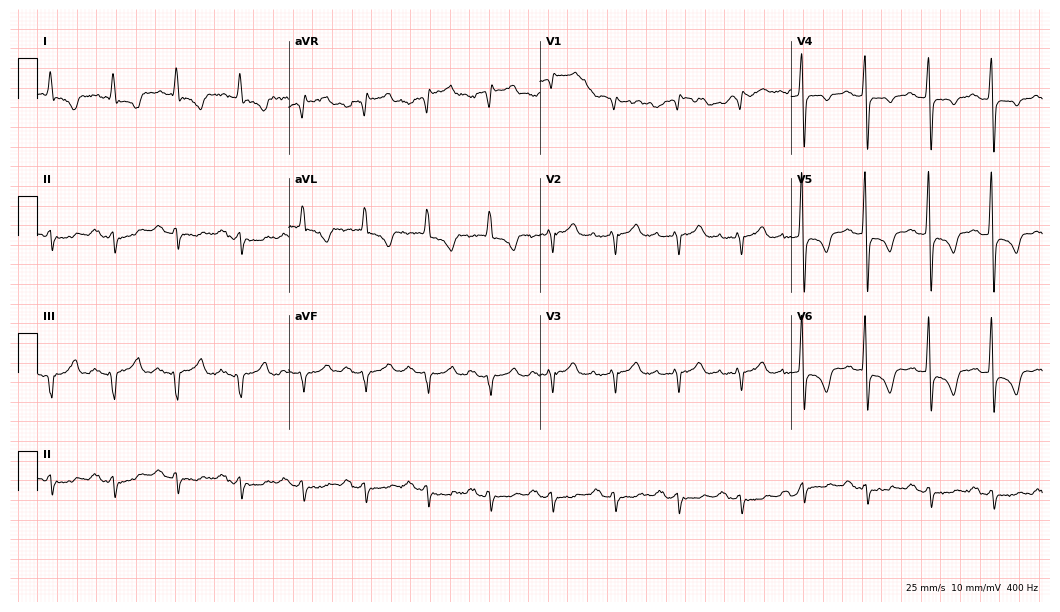
12-lead ECG (10.2-second recording at 400 Hz) from a man, 65 years old. Findings include first-degree AV block.